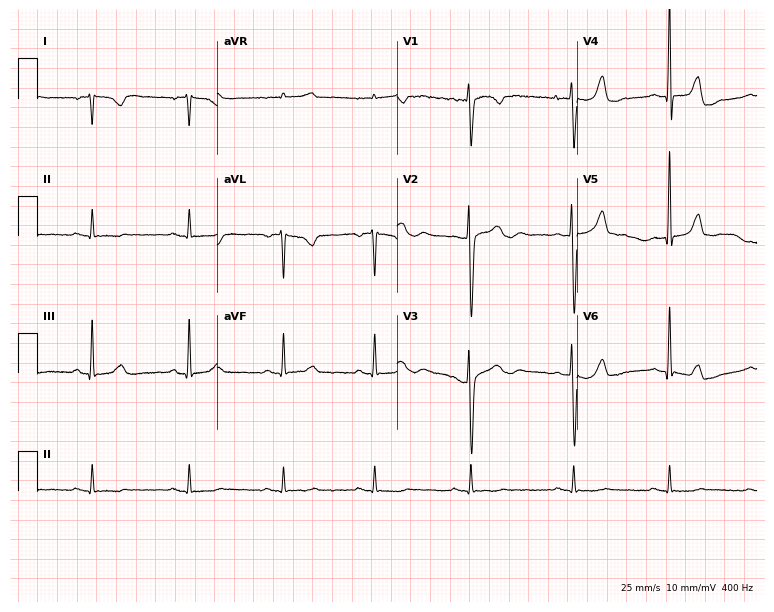
Electrocardiogram (7.3-second recording at 400 Hz), a 40-year-old woman. Of the six screened findings (first-degree AV block, right bundle branch block (RBBB), left bundle branch block (LBBB), sinus bradycardia, atrial fibrillation (AF), sinus tachycardia), none is recorded.